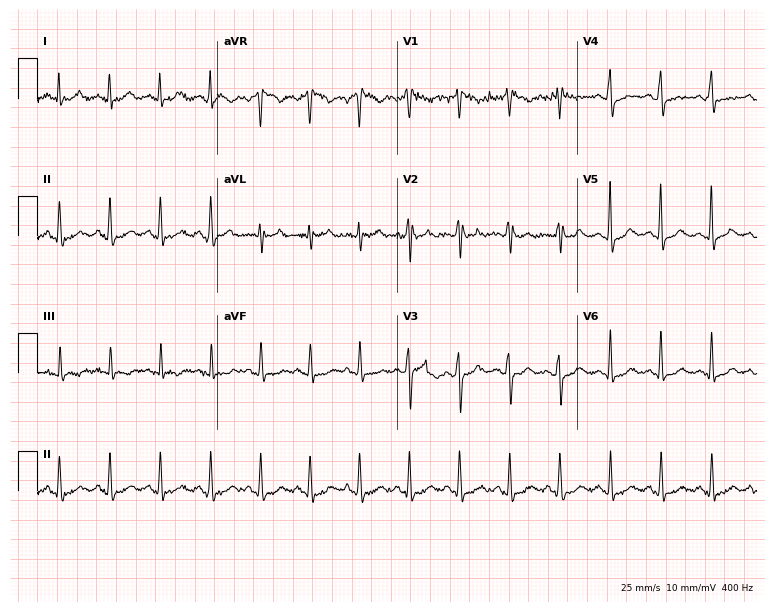
12-lead ECG from a 40-year-old woman (7.3-second recording at 400 Hz). Shows sinus tachycardia (a sinus rate of 100 beats per minute or more).